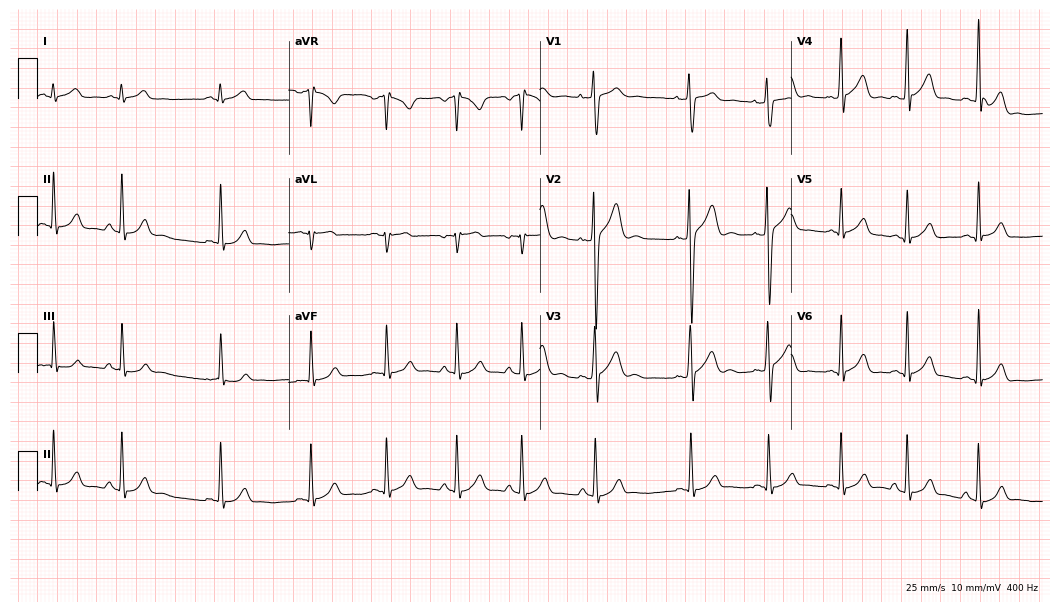
Standard 12-lead ECG recorded from a male patient, 19 years old (10.2-second recording at 400 Hz). None of these six findings is recorded: first-degree AV block, right bundle branch block (RBBB), left bundle branch block (LBBB), sinus bradycardia, atrial fibrillation (AF), sinus tachycardia.